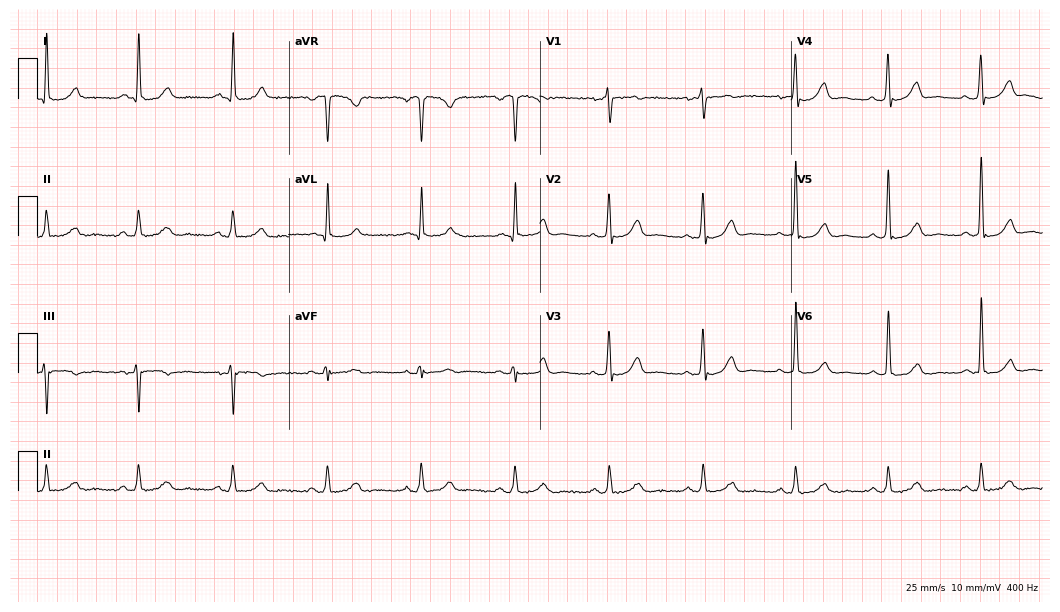
12-lead ECG (10.2-second recording at 400 Hz) from a 69-year-old male patient. Labelled as a normal ECG.